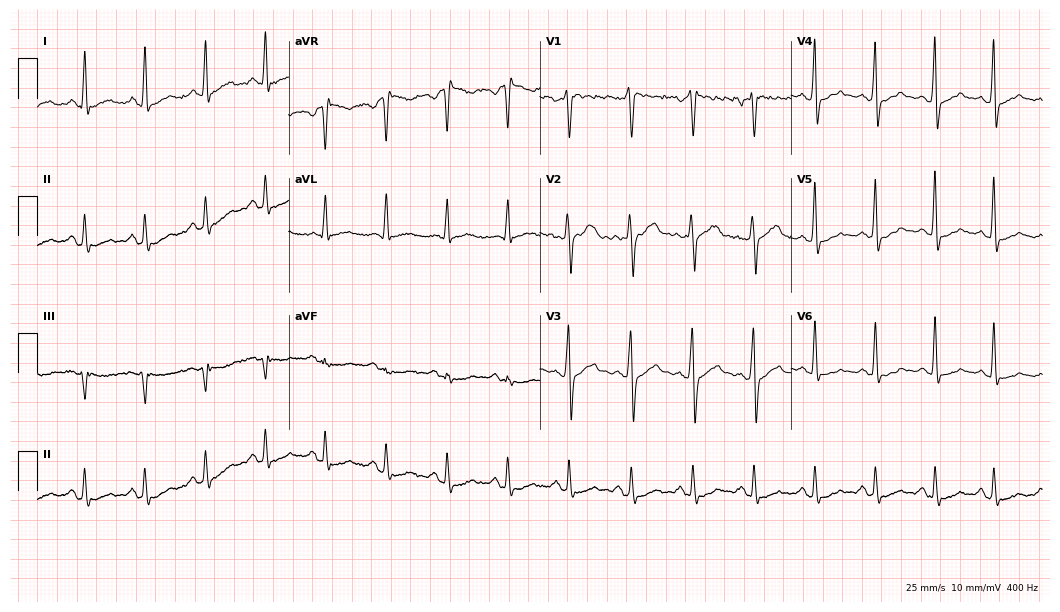
12-lead ECG (10.2-second recording at 400 Hz) from a female, 41 years old. Screened for six findings — first-degree AV block, right bundle branch block, left bundle branch block, sinus bradycardia, atrial fibrillation, sinus tachycardia — none is recorded. Findings outside these six are not listed.